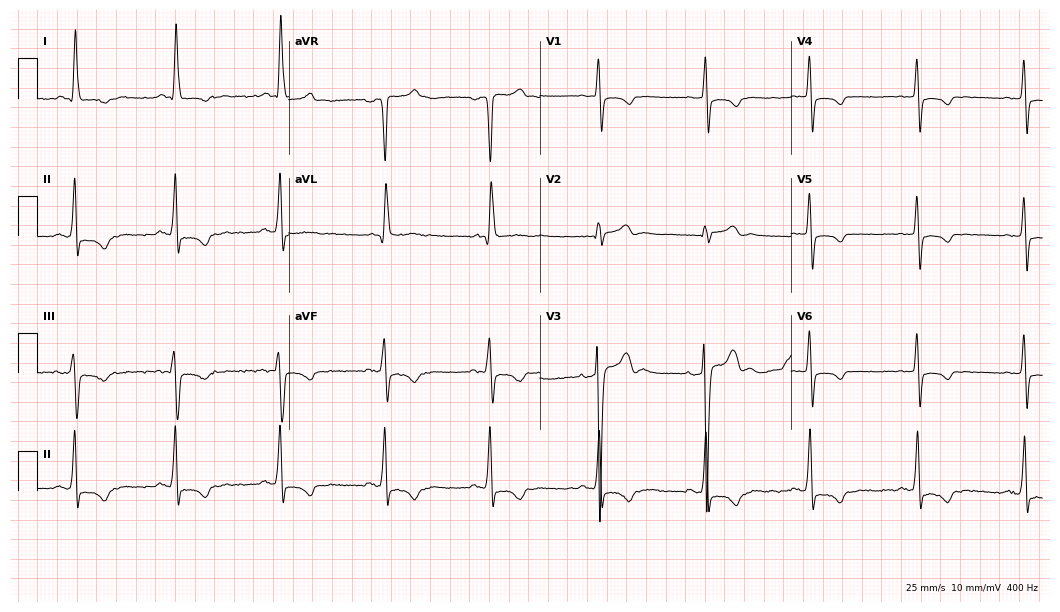
Standard 12-lead ECG recorded from a male, 47 years old (10.2-second recording at 400 Hz). None of these six findings is recorded: first-degree AV block, right bundle branch block, left bundle branch block, sinus bradycardia, atrial fibrillation, sinus tachycardia.